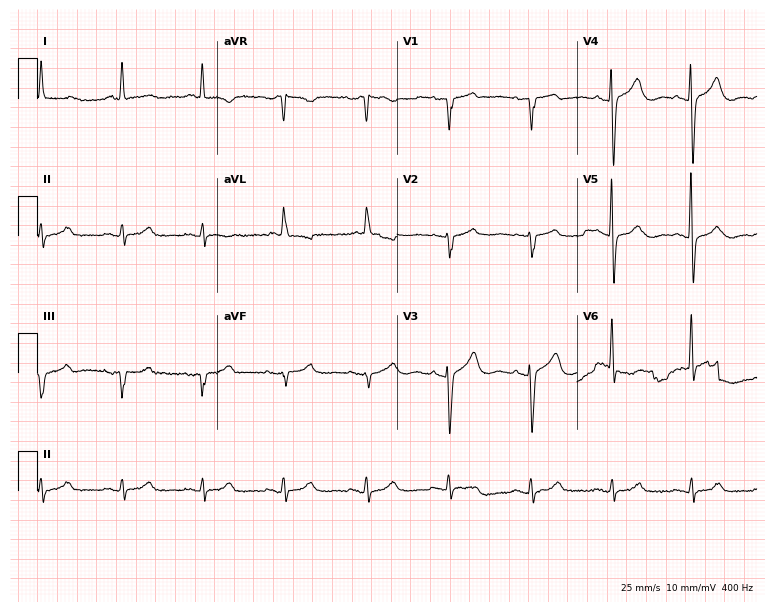
ECG (7.3-second recording at 400 Hz) — a woman, 78 years old. Screened for six findings — first-degree AV block, right bundle branch block (RBBB), left bundle branch block (LBBB), sinus bradycardia, atrial fibrillation (AF), sinus tachycardia — none is recorded.